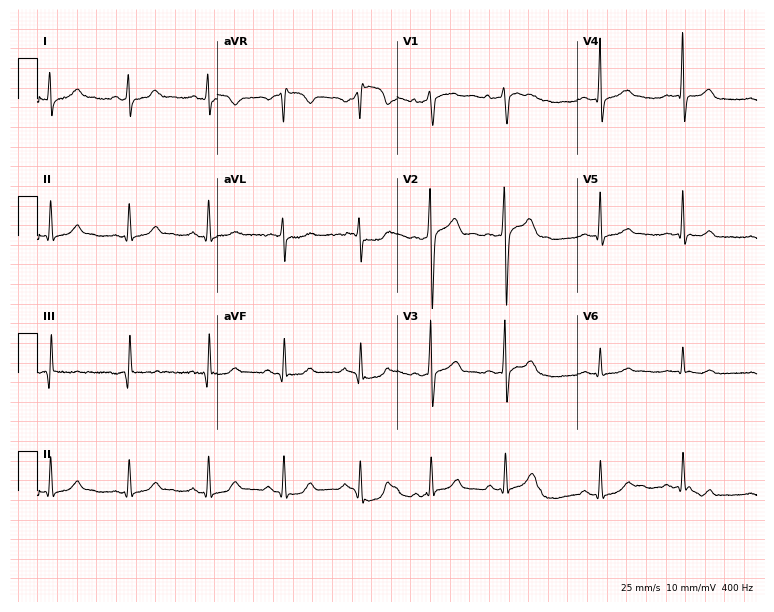
Standard 12-lead ECG recorded from a male, 22 years old. Read as a normal ECG.